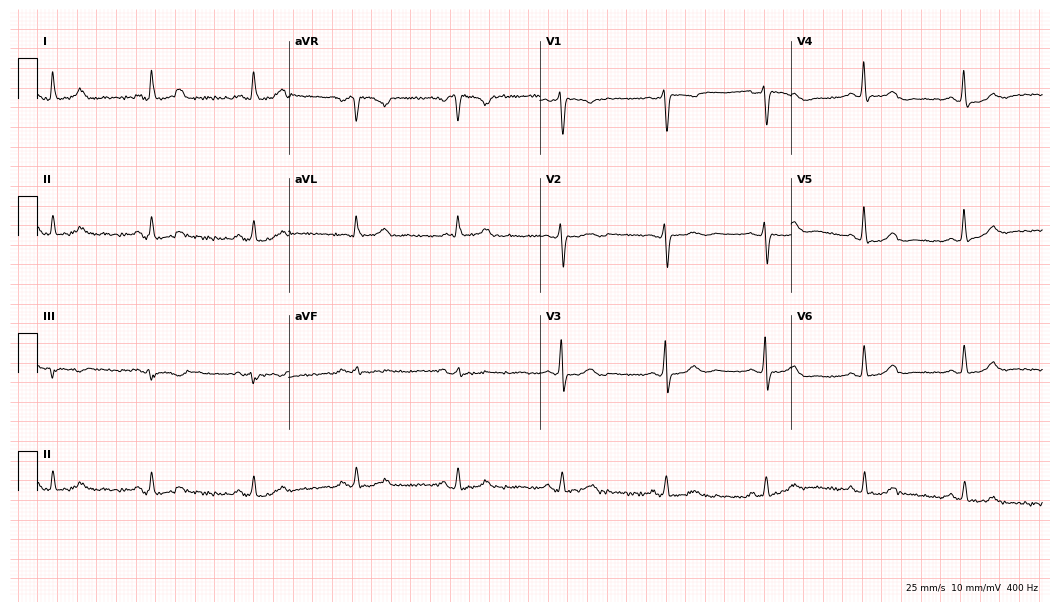
Resting 12-lead electrocardiogram. Patient: a 46-year-old woman. Read as a normal ECG.